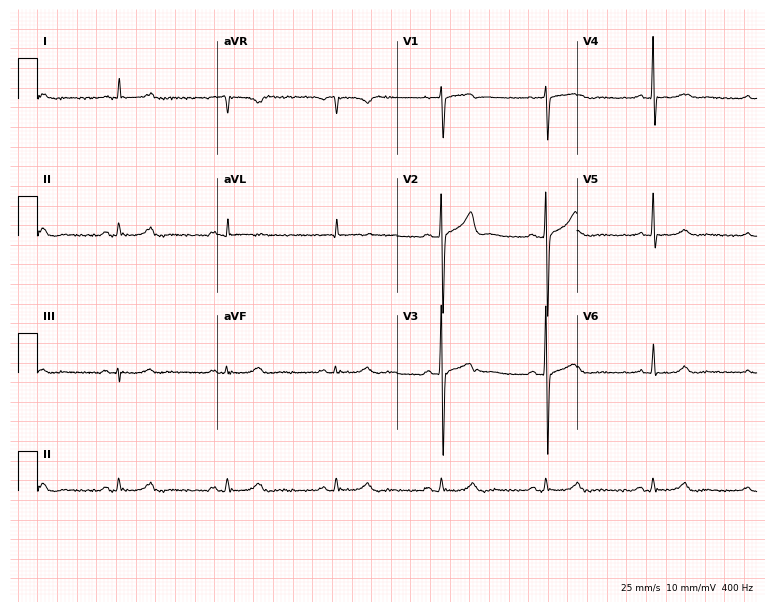
Standard 12-lead ECG recorded from a male patient, 58 years old (7.3-second recording at 400 Hz). Read as a normal ECG.